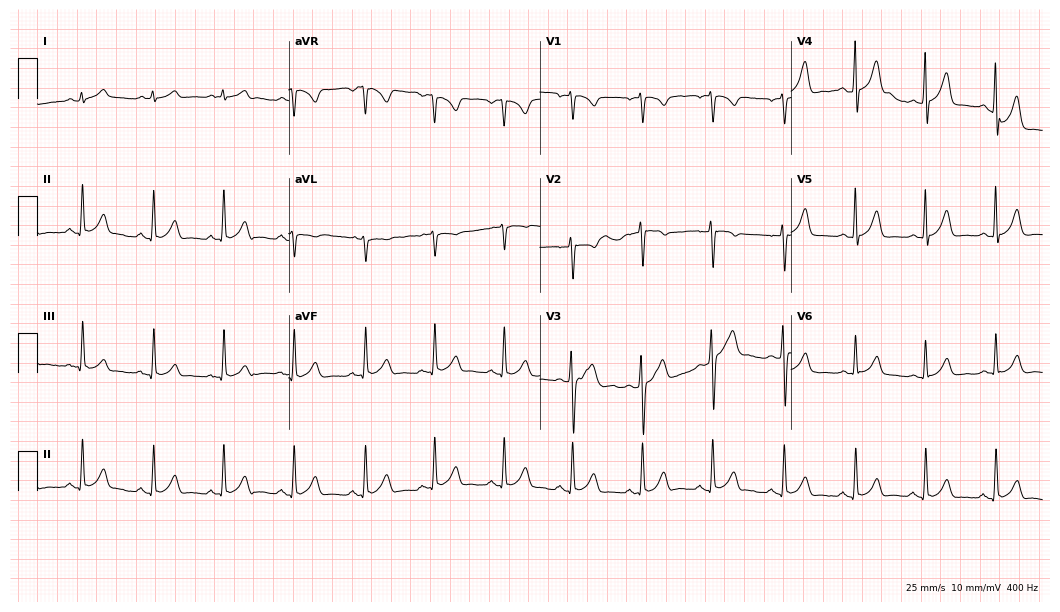
ECG (10.2-second recording at 400 Hz) — a male patient, 39 years old. Labelled as a normal ECG.